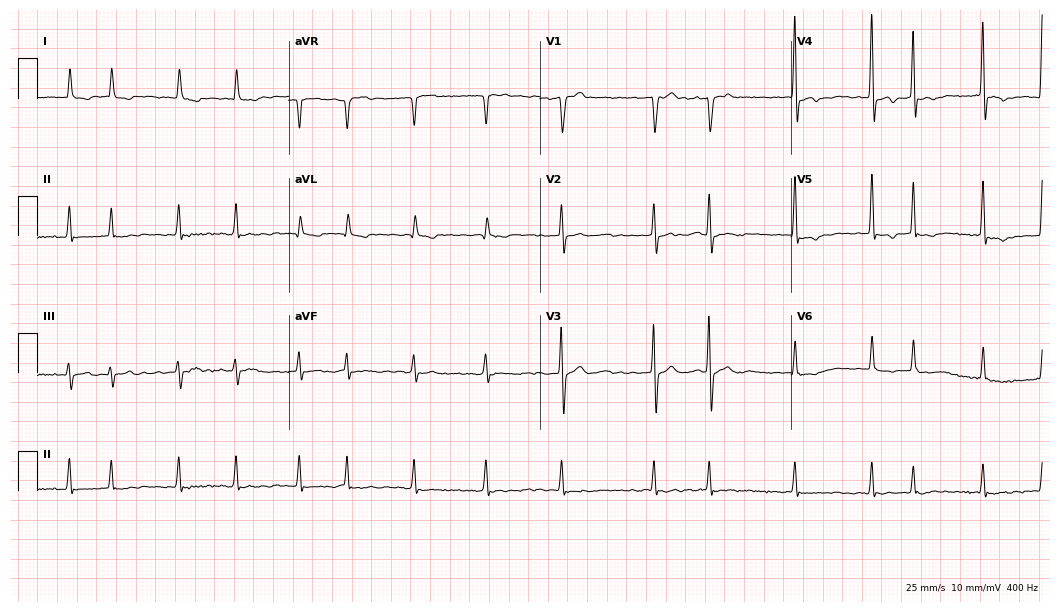
12-lead ECG from a woman, 85 years old. No first-degree AV block, right bundle branch block (RBBB), left bundle branch block (LBBB), sinus bradycardia, atrial fibrillation (AF) or sinus tachycardia recorded for this tracing.